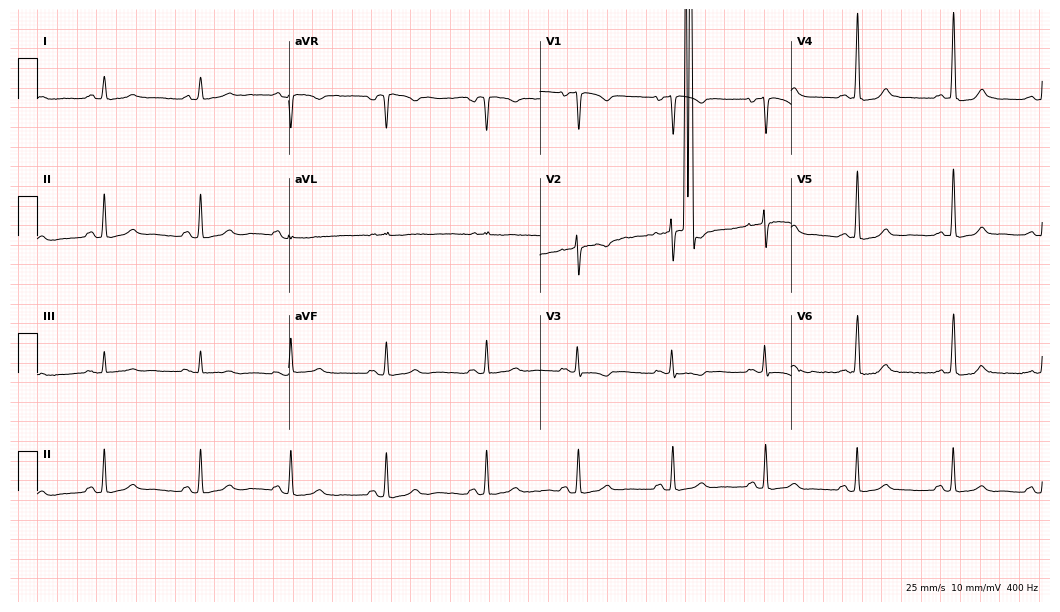
Electrocardiogram (10.2-second recording at 400 Hz), a woman, 38 years old. Of the six screened findings (first-degree AV block, right bundle branch block (RBBB), left bundle branch block (LBBB), sinus bradycardia, atrial fibrillation (AF), sinus tachycardia), none is recorded. Only these six findings were labelled.